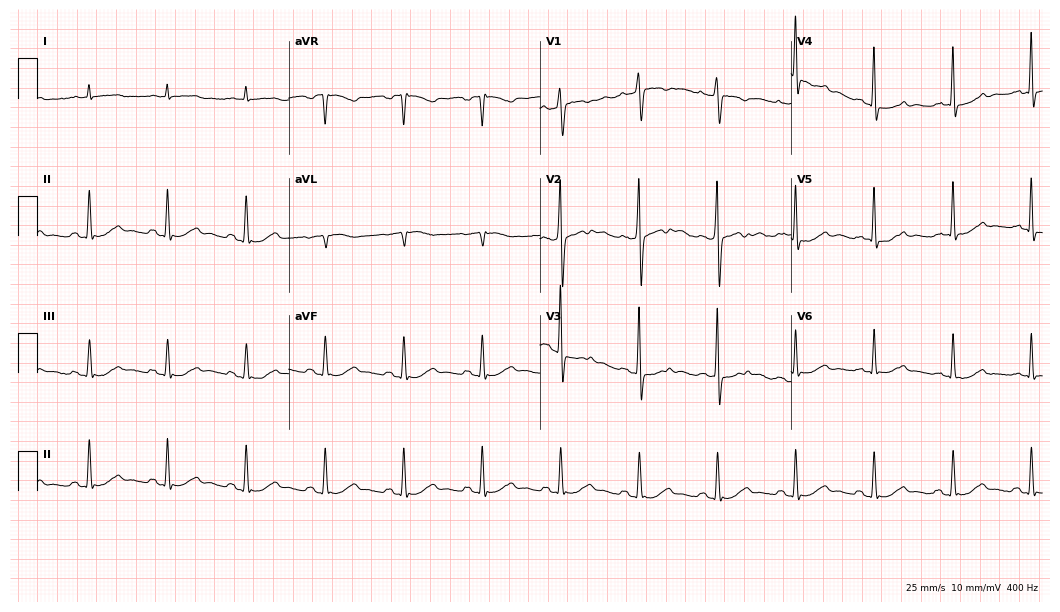
Electrocardiogram (10.2-second recording at 400 Hz), a man, 62 years old. Of the six screened findings (first-degree AV block, right bundle branch block (RBBB), left bundle branch block (LBBB), sinus bradycardia, atrial fibrillation (AF), sinus tachycardia), none is recorded. Only these six findings were labelled.